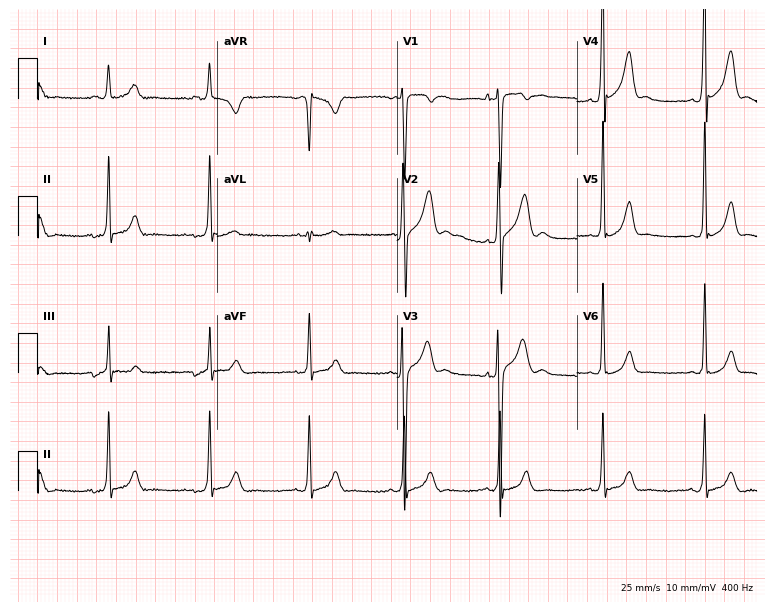
Standard 12-lead ECG recorded from a 25-year-old man (7.3-second recording at 400 Hz). None of these six findings is recorded: first-degree AV block, right bundle branch block, left bundle branch block, sinus bradycardia, atrial fibrillation, sinus tachycardia.